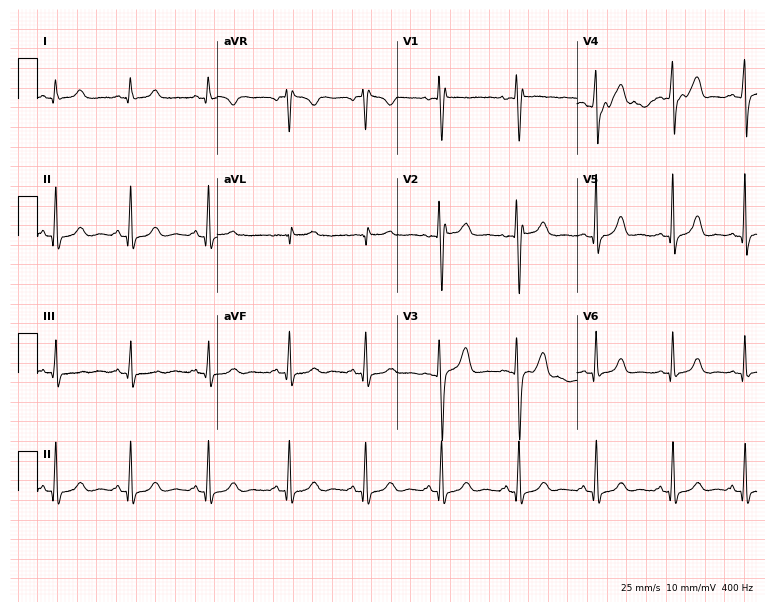
Resting 12-lead electrocardiogram. Patient: a woman, 42 years old. Read as a normal ECG.